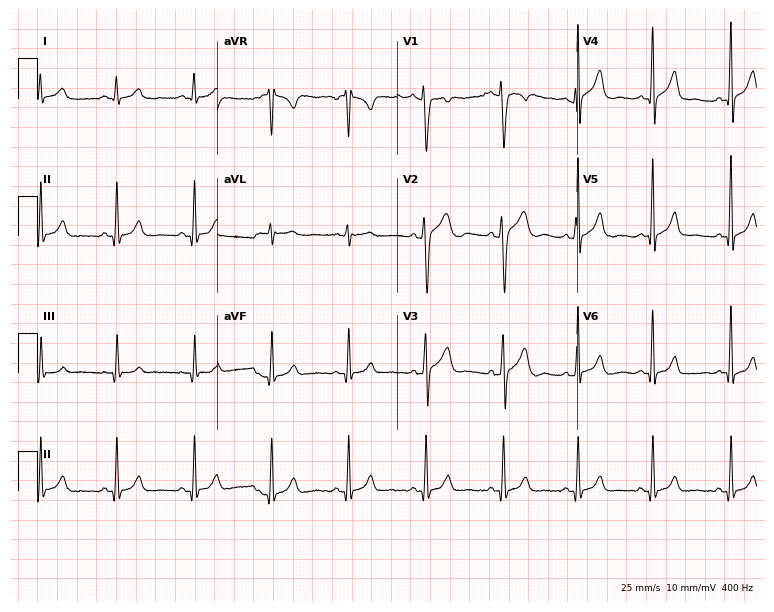
12-lead ECG from a male, 23 years old (7.3-second recording at 400 Hz). Recorded interpretation: within normal limits.